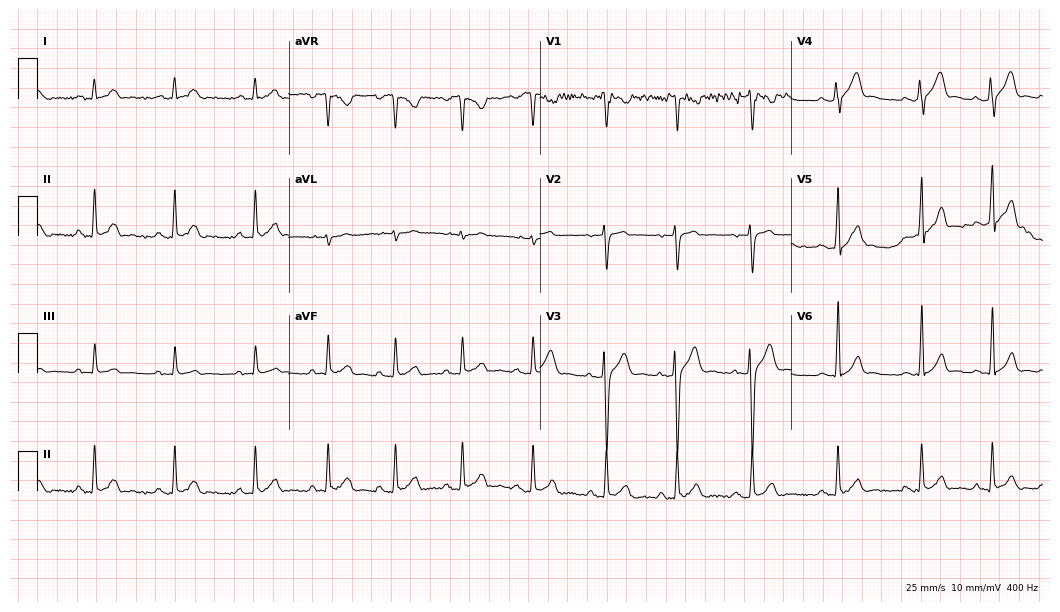
Resting 12-lead electrocardiogram (10.2-second recording at 400 Hz). Patient: a male, 17 years old. Read as a normal ECG.